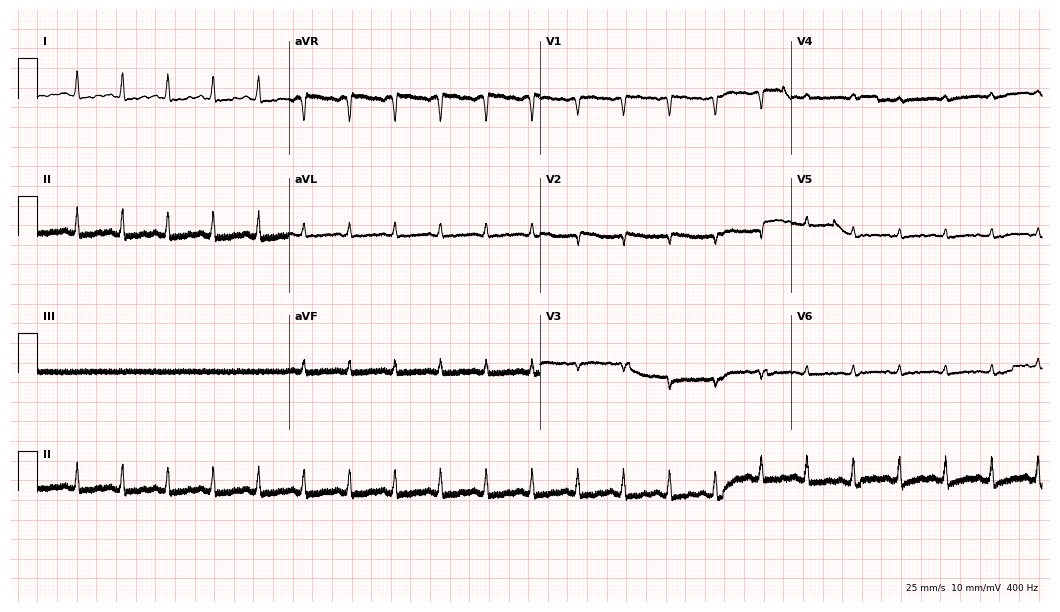
12-lead ECG (10.2-second recording at 400 Hz) from a 73-year-old female patient. Findings include sinus tachycardia (a sinus rate of 100 beats per minute or more).